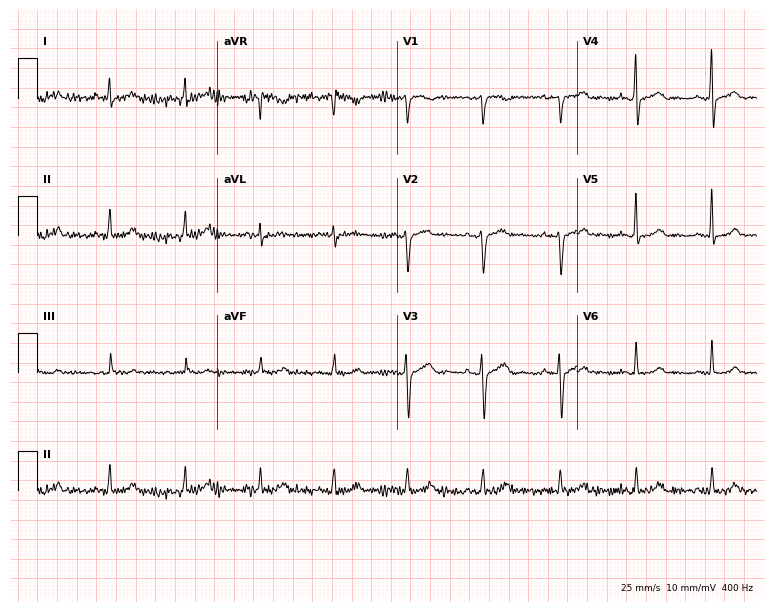
Resting 12-lead electrocardiogram (7.3-second recording at 400 Hz). Patient: a male, 44 years old. None of these six findings is recorded: first-degree AV block, right bundle branch block (RBBB), left bundle branch block (LBBB), sinus bradycardia, atrial fibrillation (AF), sinus tachycardia.